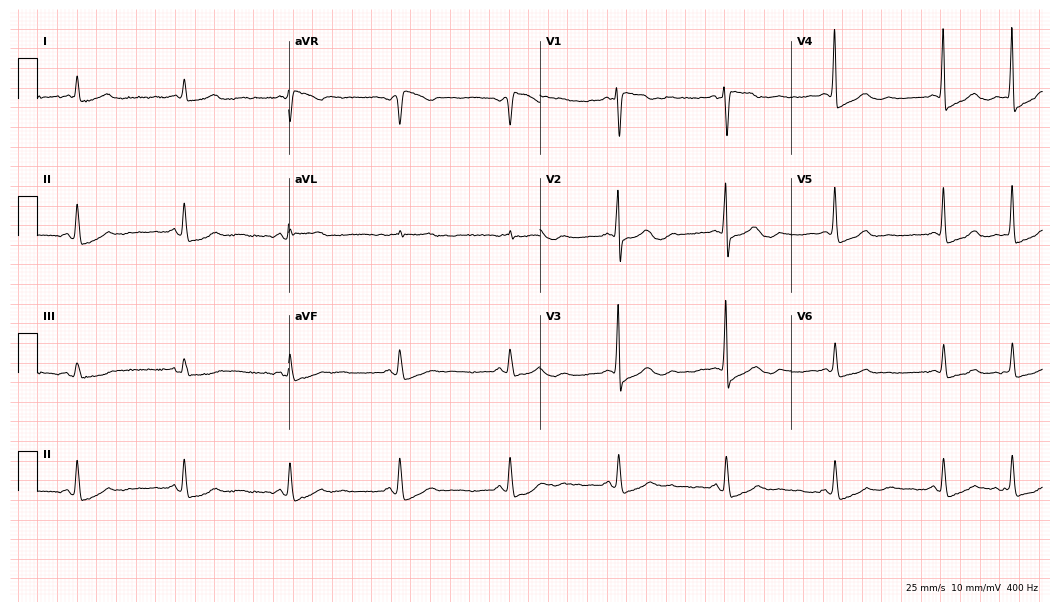
Electrocardiogram (10.2-second recording at 400 Hz), a woman, 82 years old. Of the six screened findings (first-degree AV block, right bundle branch block, left bundle branch block, sinus bradycardia, atrial fibrillation, sinus tachycardia), none is recorded.